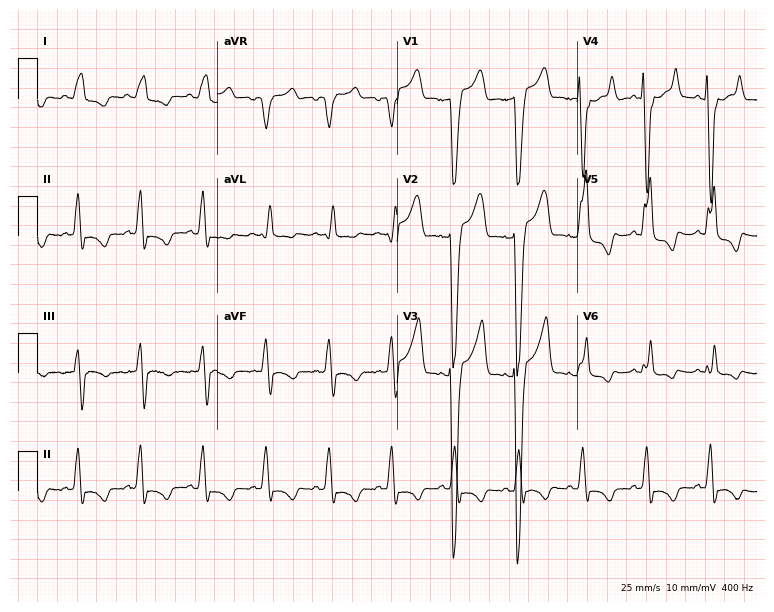
Resting 12-lead electrocardiogram. Patient: a 53-year-old male. The tracing shows left bundle branch block (LBBB).